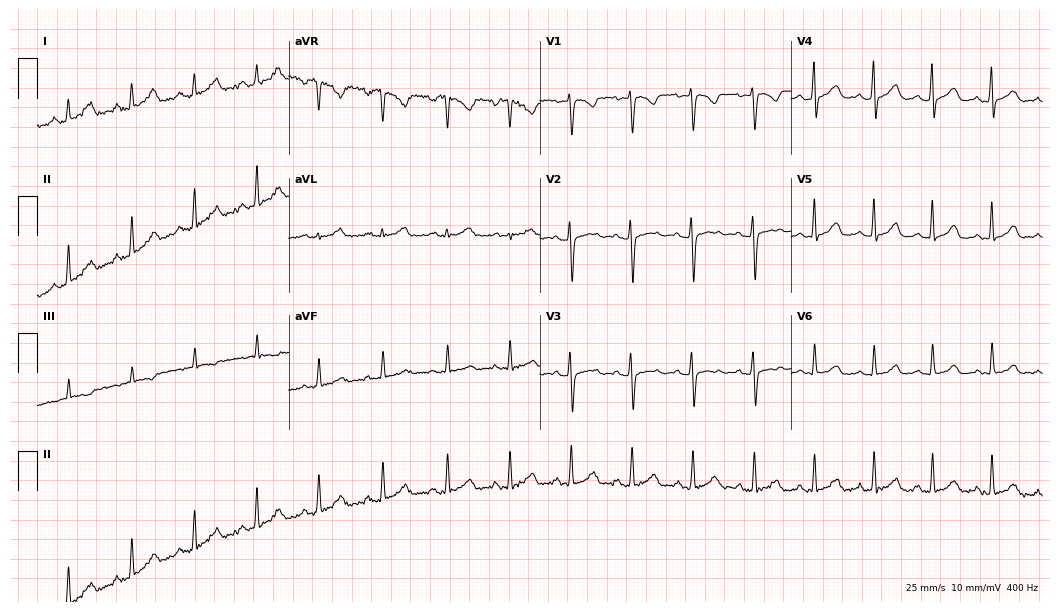
Standard 12-lead ECG recorded from a female, 32 years old. Read as a normal ECG.